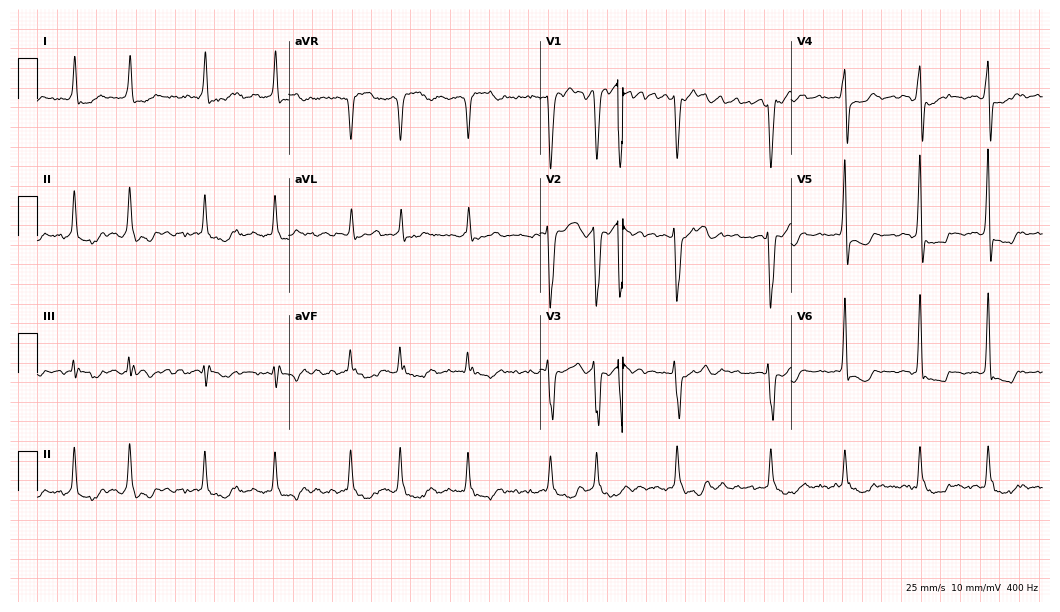
Standard 12-lead ECG recorded from a woman, 42 years old. The tracing shows atrial fibrillation.